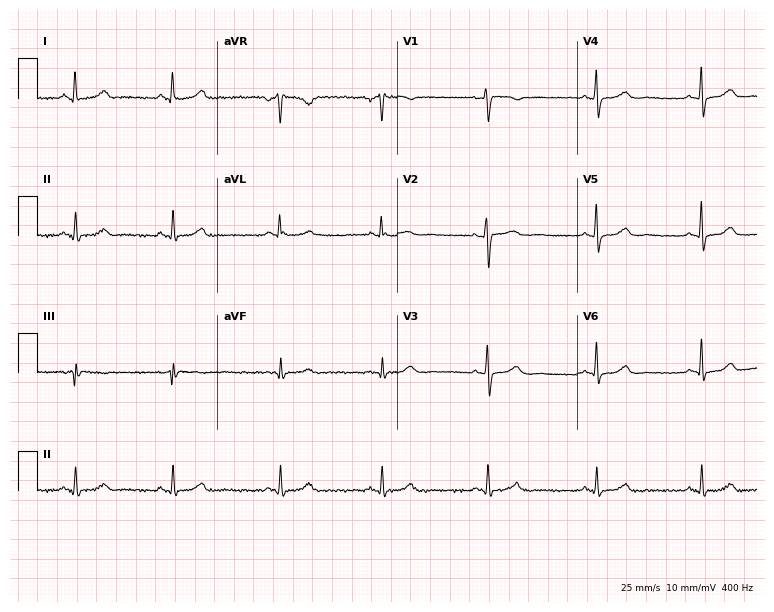
Standard 12-lead ECG recorded from a female, 42 years old (7.3-second recording at 400 Hz). None of these six findings is recorded: first-degree AV block, right bundle branch block (RBBB), left bundle branch block (LBBB), sinus bradycardia, atrial fibrillation (AF), sinus tachycardia.